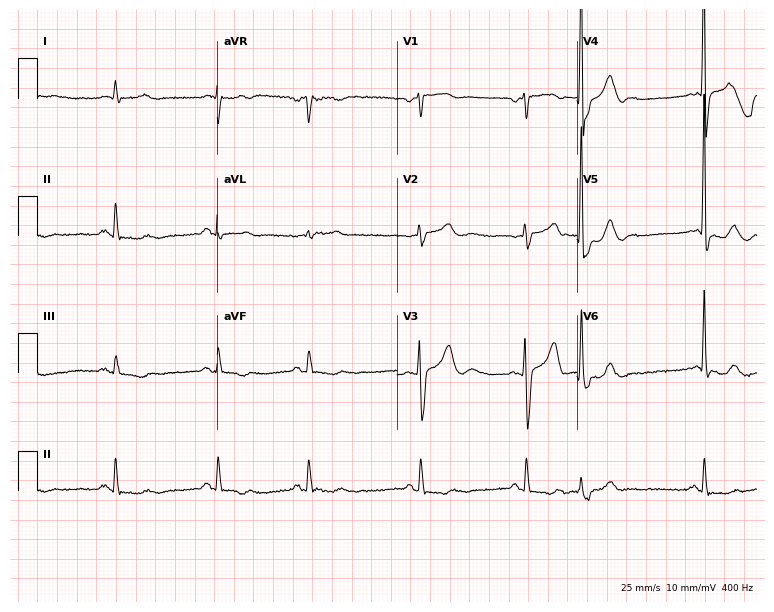
Standard 12-lead ECG recorded from a male patient, 64 years old. None of these six findings is recorded: first-degree AV block, right bundle branch block, left bundle branch block, sinus bradycardia, atrial fibrillation, sinus tachycardia.